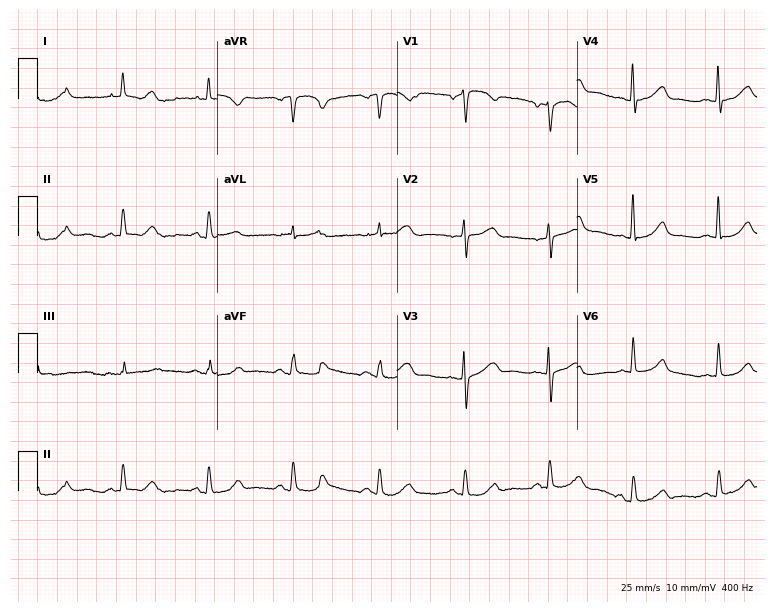
ECG (7.3-second recording at 400 Hz) — a woman, 73 years old. Screened for six findings — first-degree AV block, right bundle branch block (RBBB), left bundle branch block (LBBB), sinus bradycardia, atrial fibrillation (AF), sinus tachycardia — none is recorded.